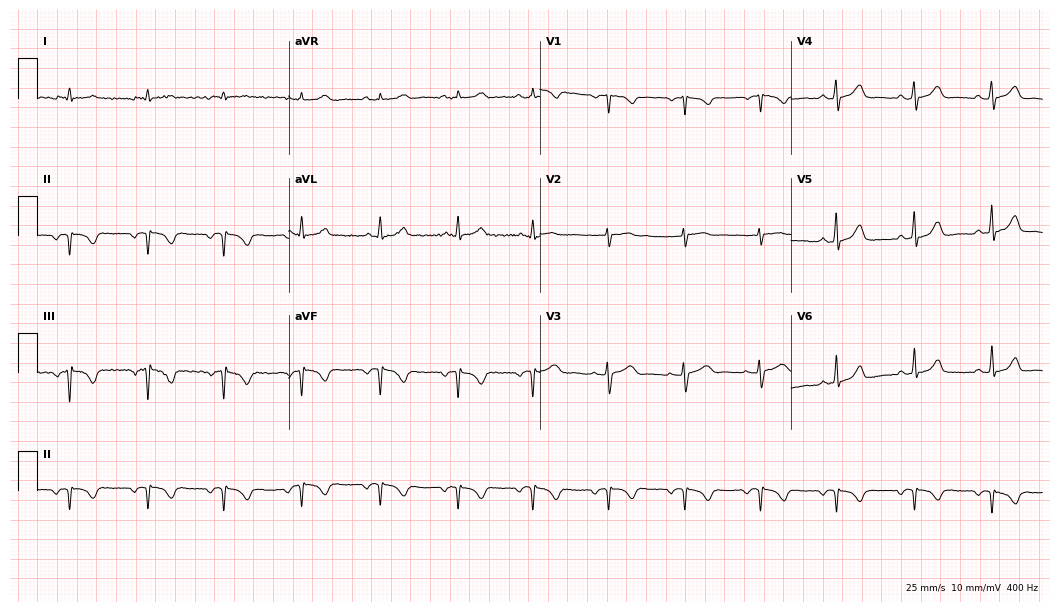
12-lead ECG from a woman, 37 years old. No first-degree AV block, right bundle branch block, left bundle branch block, sinus bradycardia, atrial fibrillation or sinus tachycardia recorded for this tracing. Only these six findings were labelled.